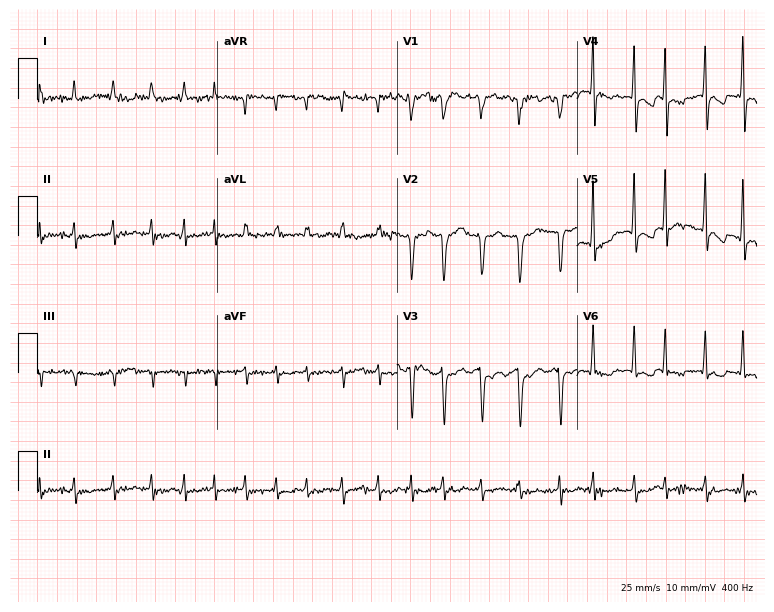
Standard 12-lead ECG recorded from a 79-year-old woman (7.3-second recording at 400 Hz). The tracing shows atrial fibrillation (AF).